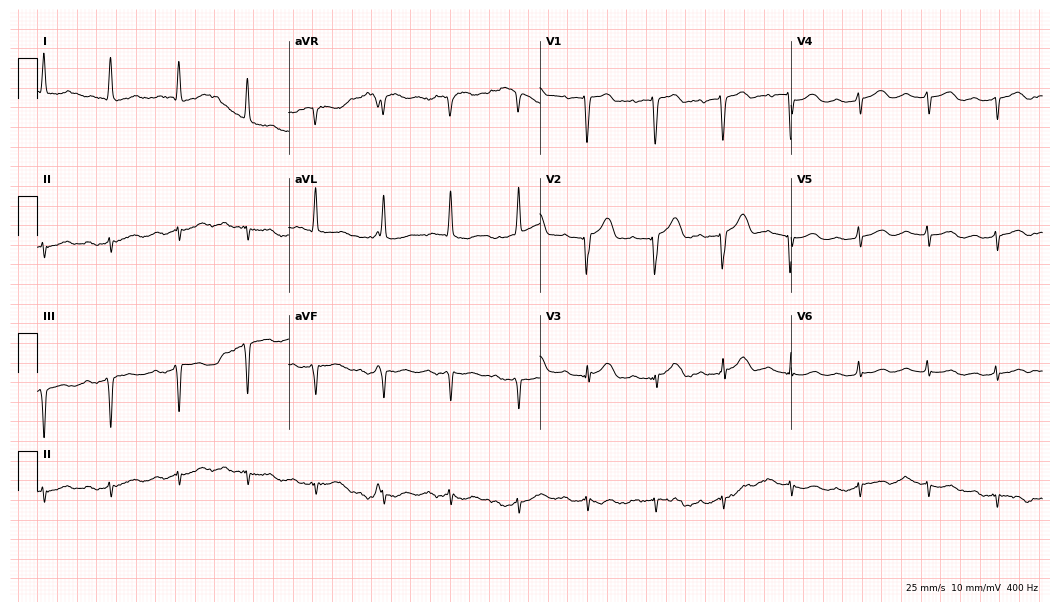
12-lead ECG from a 78-year-old man. Shows first-degree AV block.